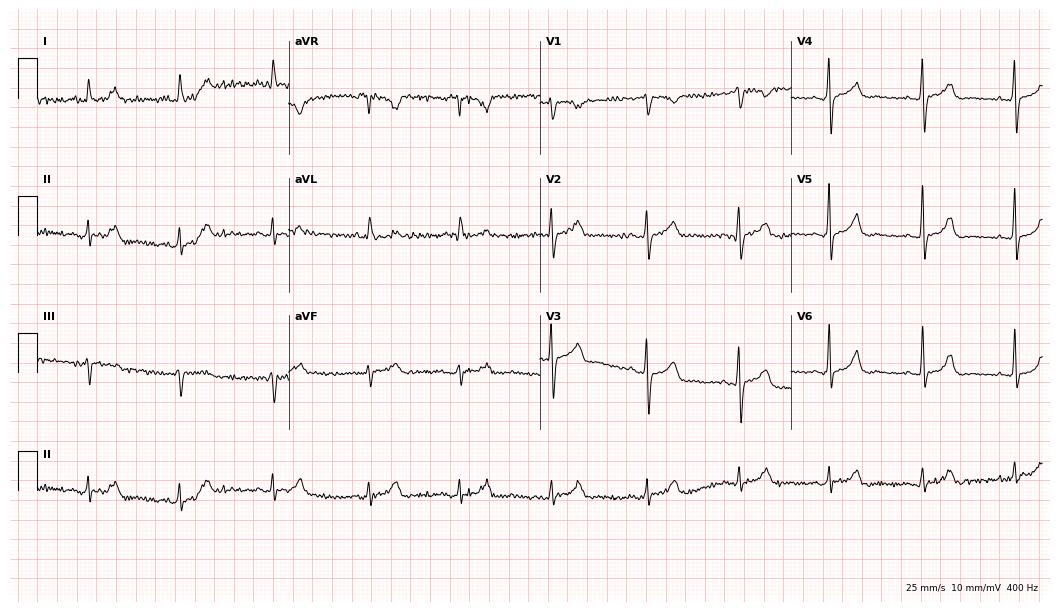
Electrocardiogram (10.2-second recording at 400 Hz), a woman, 69 years old. Of the six screened findings (first-degree AV block, right bundle branch block (RBBB), left bundle branch block (LBBB), sinus bradycardia, atrial fibrillation (AF), sinus tachycardia), none is recorded.